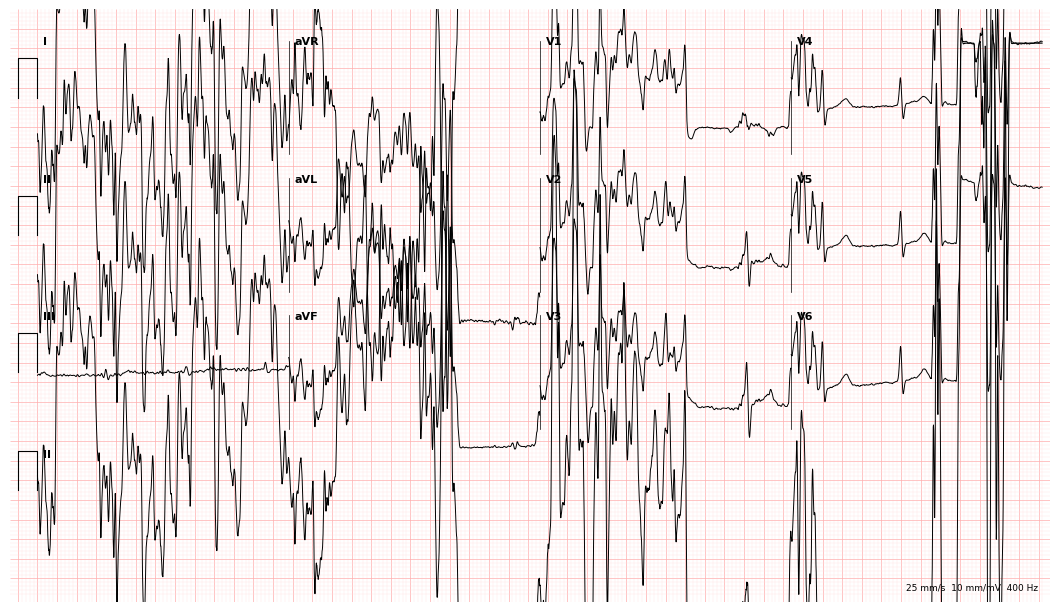
ECG (10.2-second recording at 400 Hz) — a 20-year-old male patient. Screened for six findings — first-degree AV block, right bundle branch block (RBBB), left bundle branch block (LBBB), sinus bradycardia, atrial fibrillation (AF), sinus tachycardia — none is recorded.